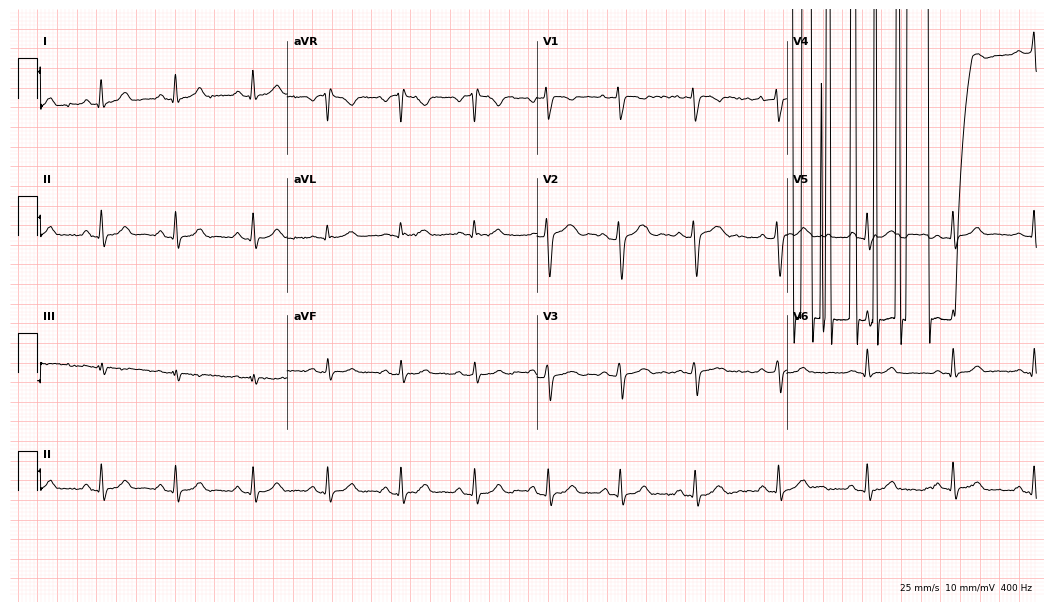
Standard 12-lead ECG recorded from a female patient, 23 years old. None of these six findings is recorded: first-degree AV block, right bundle branch block, left bundle branch block, sinus bradycardia, atrial fibrillation, sinus tachycardia. Only these six findings were labelled.